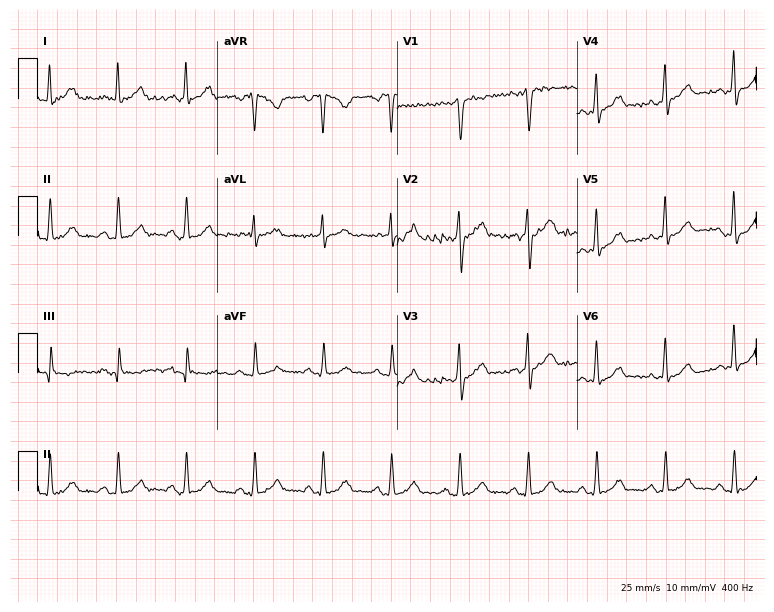
ECG — a male patient, 38 years old. Screened for six findings — first-degree AV block, right bundle branch block, left bundle branch block, sinus bradycardia, atrial fibrillation, sinus tachycardia — none is recorded. Findings outside these six are not listed.